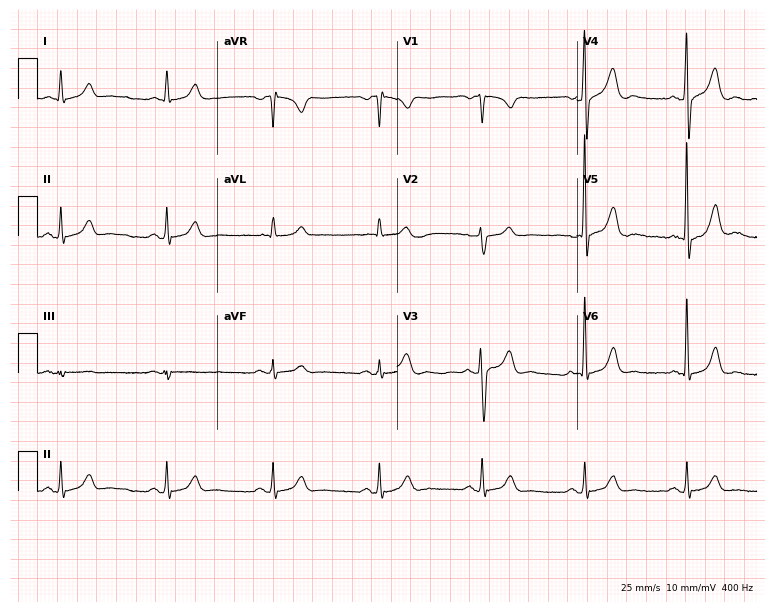
ECG (7.3-second recording at 400 Hz) — a male, 56 years old. Findings include sinus bradycardia (a sinus rate of 50 beats per minute or less).